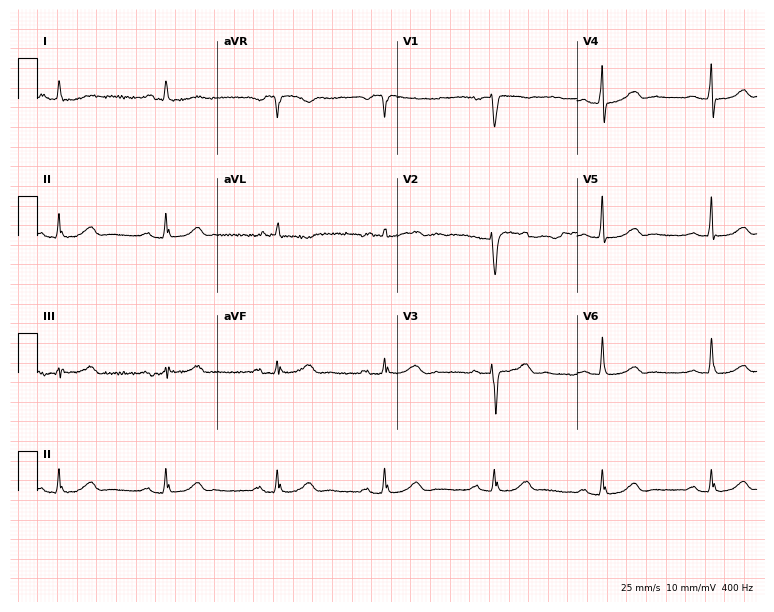
Standard 12-lead ECG recorded from a 69-year-old woman. None of these six findings is recorded: first-degree AV block, right bundle branch block, left bundle branch block, sinus bradycardia, atrial fibrillation, sinus tachycardia. Only these six findings were labelled.